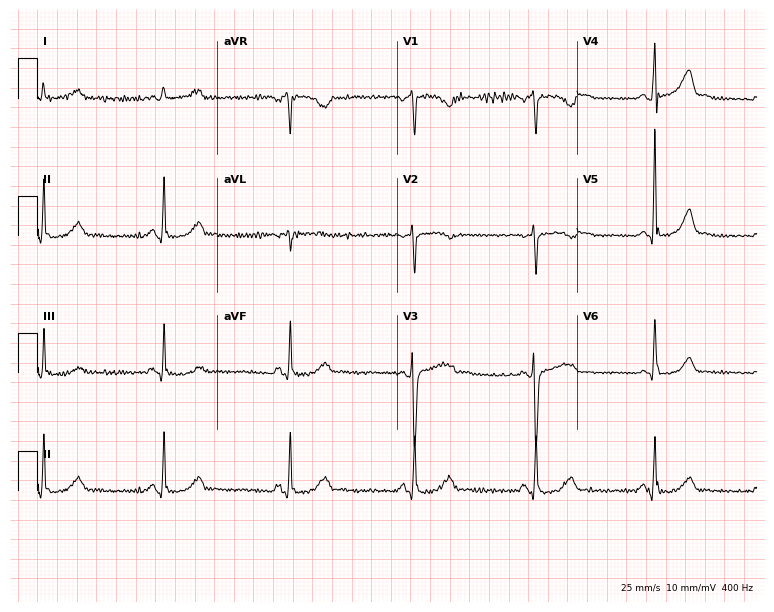
ECG (7.3-second recording at 400 Hz) — a 61-year-old man. Findings include sinus bradycardia (a sinus rate of 50 beats per minute or less).